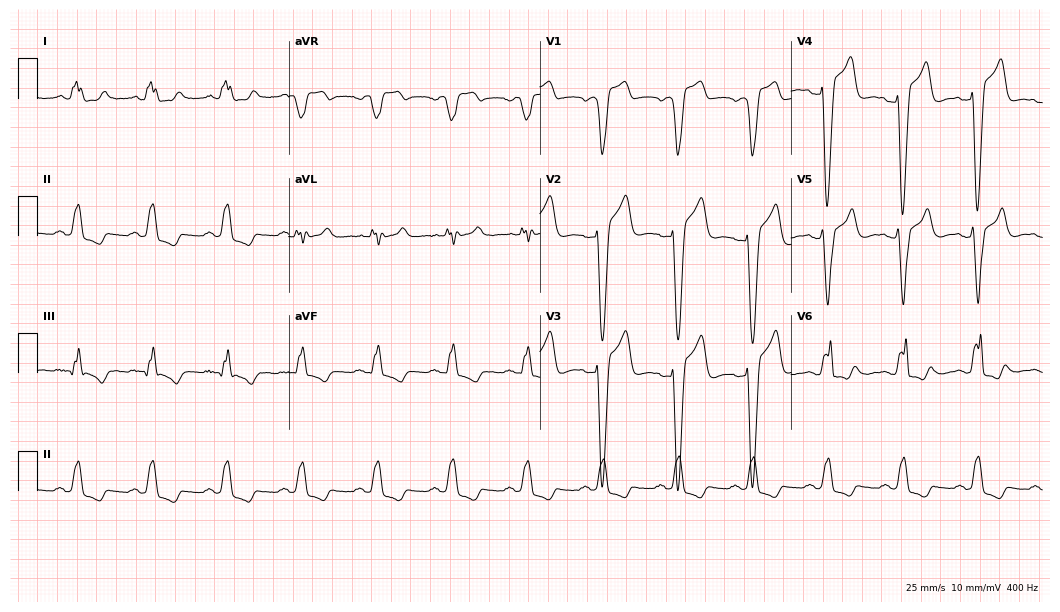
ECG (10.2-second recording at 400 Hz) — a 68-year-old man. Findings include left bundle branch block.